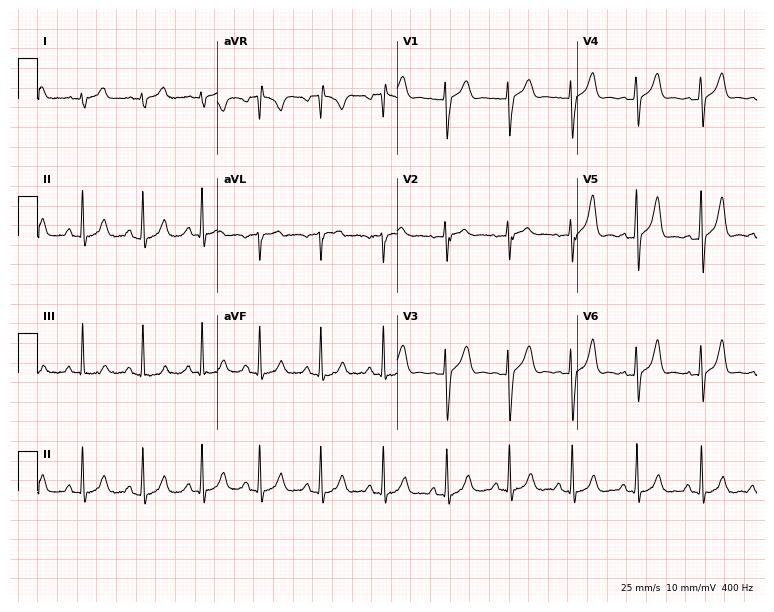
Standard 12-lead ECG recorded from a male patient, 26 years old. None of these six findings is recorded: first-degree AV block, right bundle branch block (RBBB), left bundle branch block (LBBB), sinus bradycardia, atrial fibrillation (AF), sinus tachycardia.